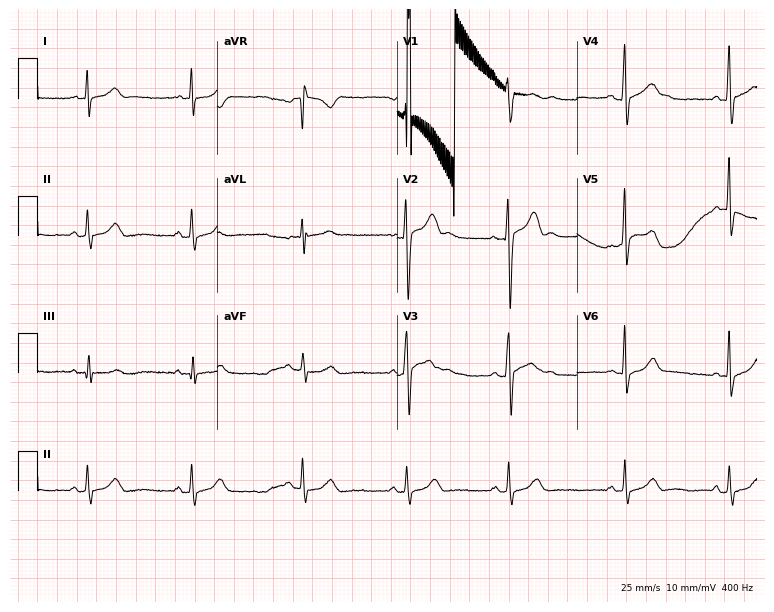
ECG (7.3-second recording at 400 Hz) — a male, 20 years old. Labelled as a normal ECG.